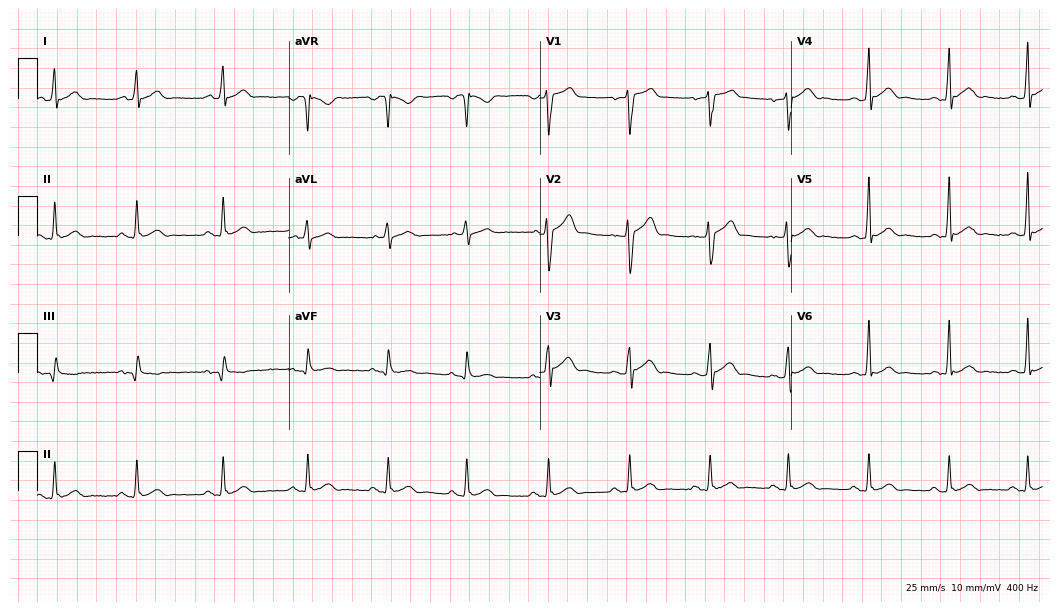
Resting 12-lead electrocardiogram (10.2-second recording at 400 Hz). Patient: a 24-year-old man. Read as a normal ECG.